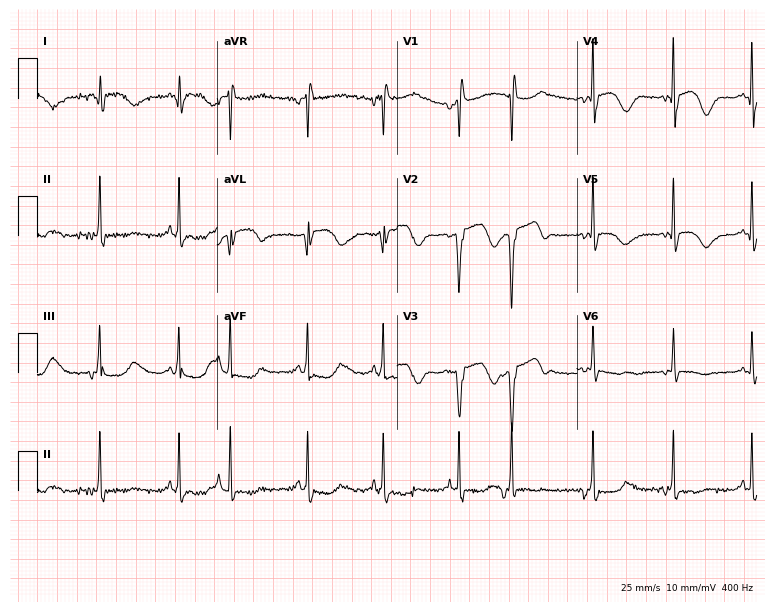
12-lead ECG from a female patient, 49 years old. No first-degree AV block, right bundle branch block, left bundle branch block, sinus bradycardia, atrial fibrillation or sinus tachycardia recorded for this tracing.